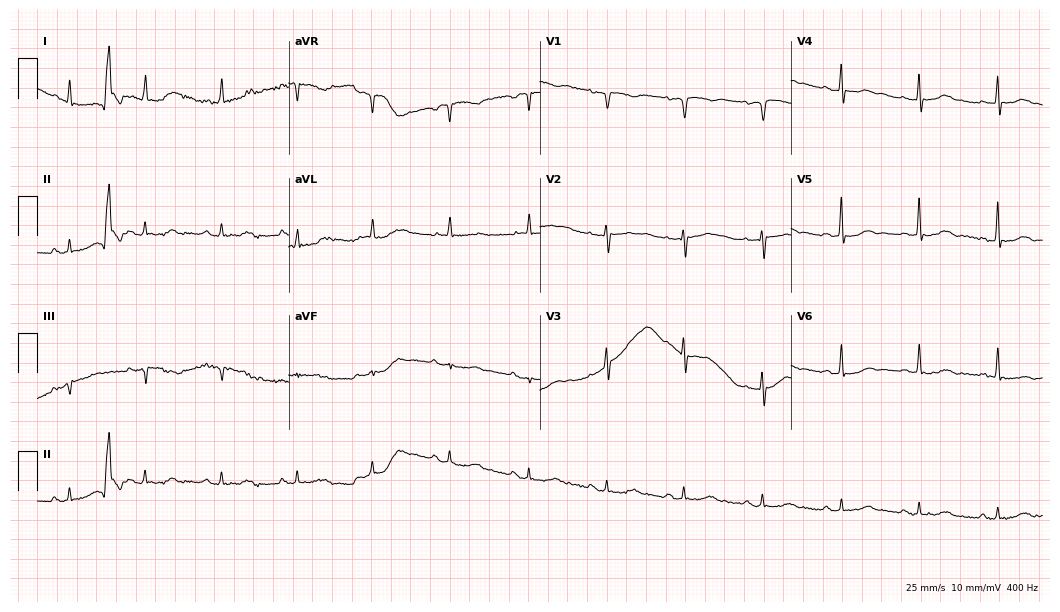
12-lead ECG from an 84-year-old female patient. No first-degree AV block, right bundle branch block, left bundle branch block, sinus bradycardia, atrial fibrillation or sinus tachycardia recorded for this tracing.